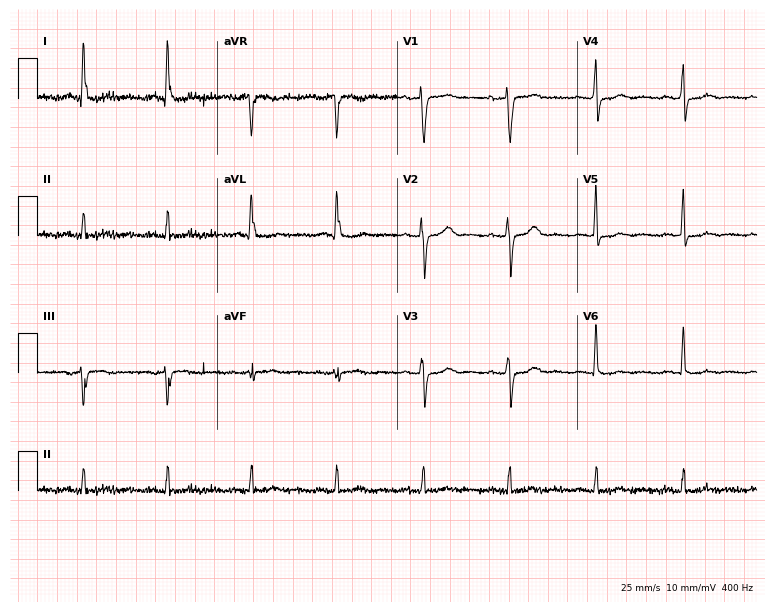
12-lead ECG from a female, 61 years old. Screened for six findings — first-degree AV block, right bundle branch block, left bundle branch block, sinus bradycardia, atrial fibrillation, sinus tachycardia — none is recorded. Other findings, if any, are not listed.